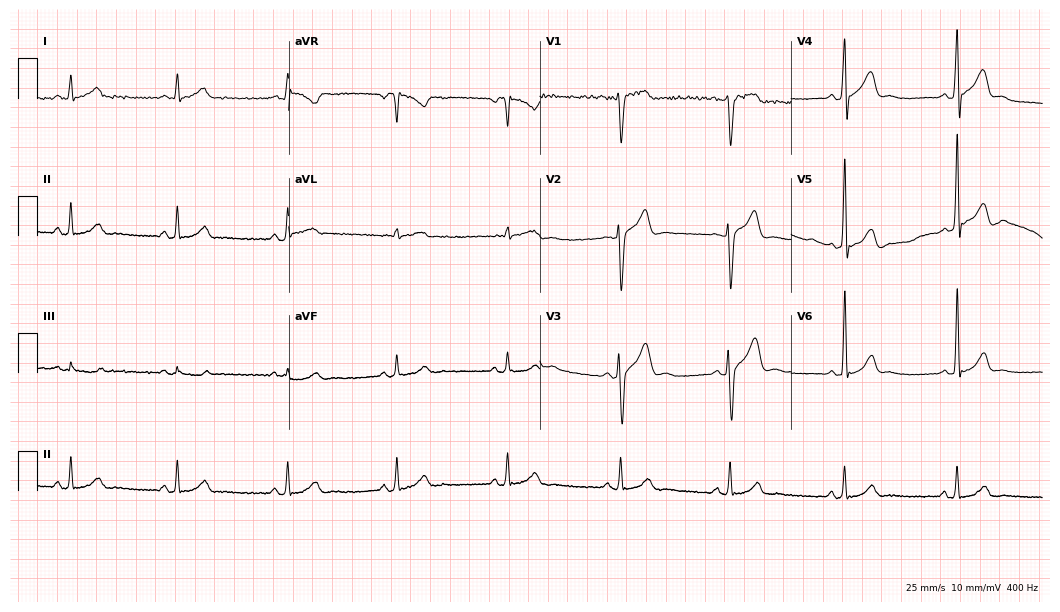
12-lead ECG from a man, 33 years old. Recorded interpretation: within normal limits.